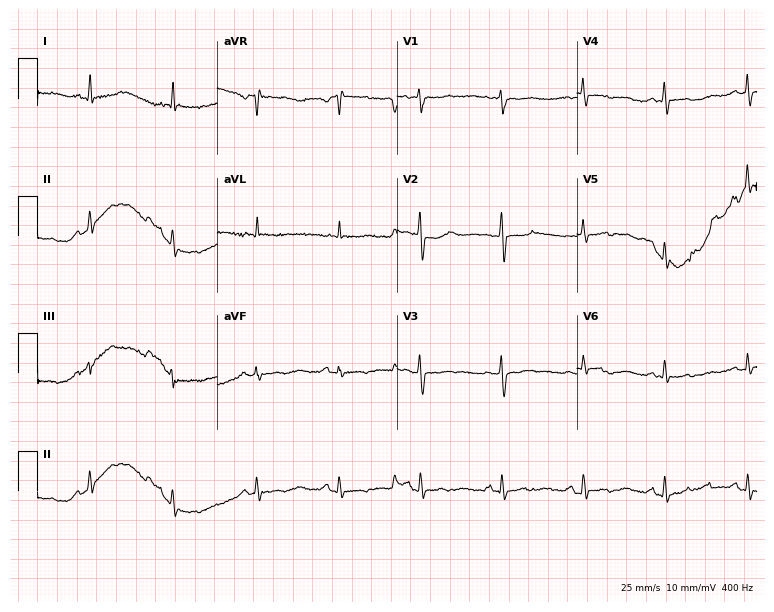
Electrocardiogram, a female, 66 years old. Of the six screened findings (first-degree AV block, right bundle branch block (RBBB), left bundle branch block (LBBB), sinus bradycardia, atrial fibrillation (AF), sinus tachycardia), none is recorded.